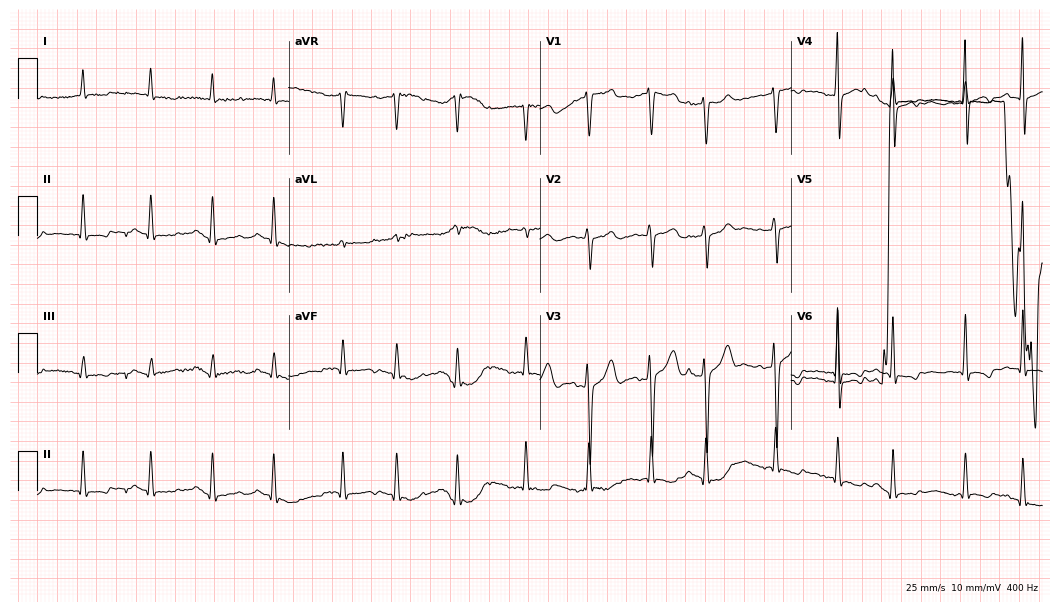
Standard 12-lead ECG recorded from a male, 82 years old (10.2-second recording at 400 Hz). None of these six findings is recorded: first-degree AV block, right bundle branch block, left bundle branch block, sinus bradycardia, atrial fibrillation, sinus tachycardia.